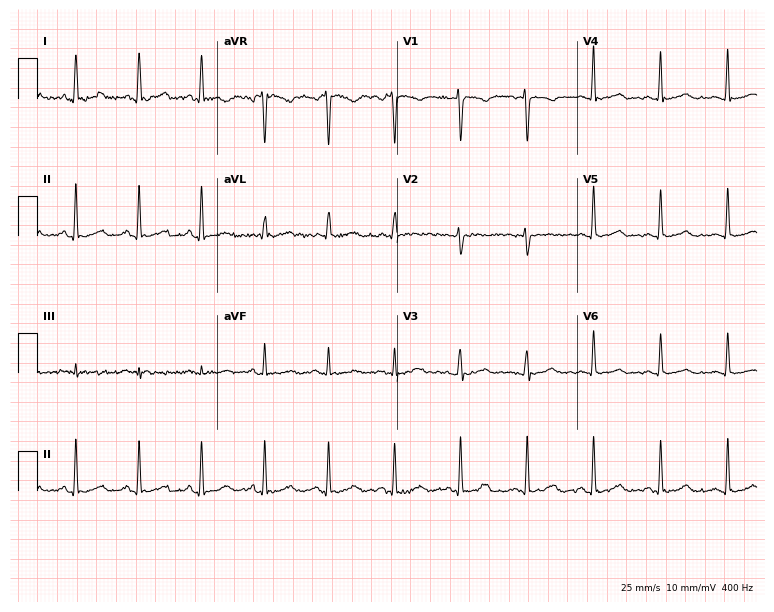
Resting 12-lead electrocardiogram. Patient: a 38-year-old woman. Read as a normal ECG.